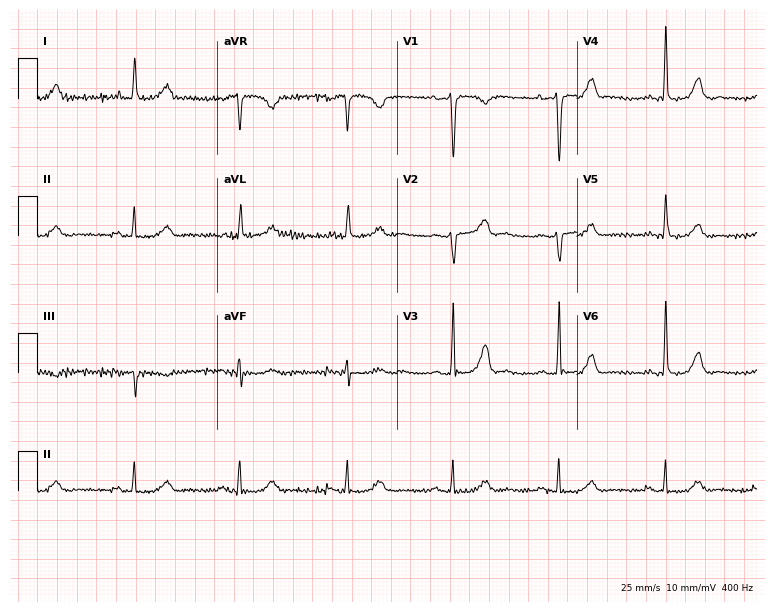
ECG (7.3-second recording at 400 Hz) — a 62-year-old female. Screened for six findings — first-degree AV block, right bundle branch block, left bundle branch block, sinus bradycardia, atrial fibrillation, sinus tachycardia — none is recorded. Other findings, if any, are not listed.